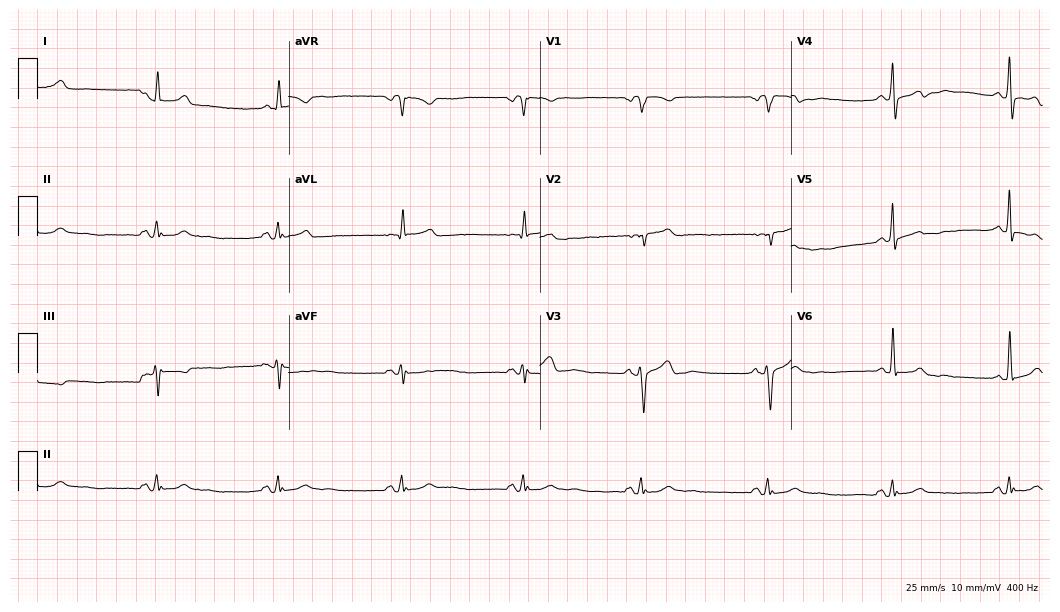
Electrocardiogram (10.2-second recording at 400 Hz), a female patient, 53 years old. Interpretation includes sinus bradycardia (a sinus rate of 50 beats per minute or less).